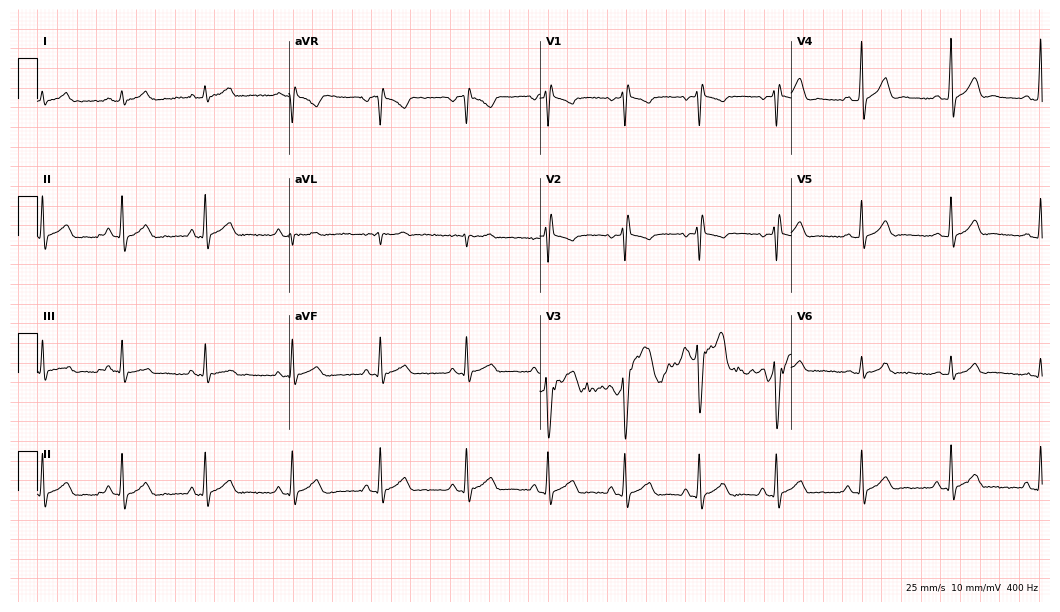
ECG (10.2-second recording at 400 Hz) — a male patient, 19 years old. Screened for six findings — first-degree AV block, right bundle branch block (RBBB), left bundle branch block (LBBB), sinus bradycardia, atrial fibrillation (AF), sinus tachycardia — none is recorded. Only these six findings were labelled.